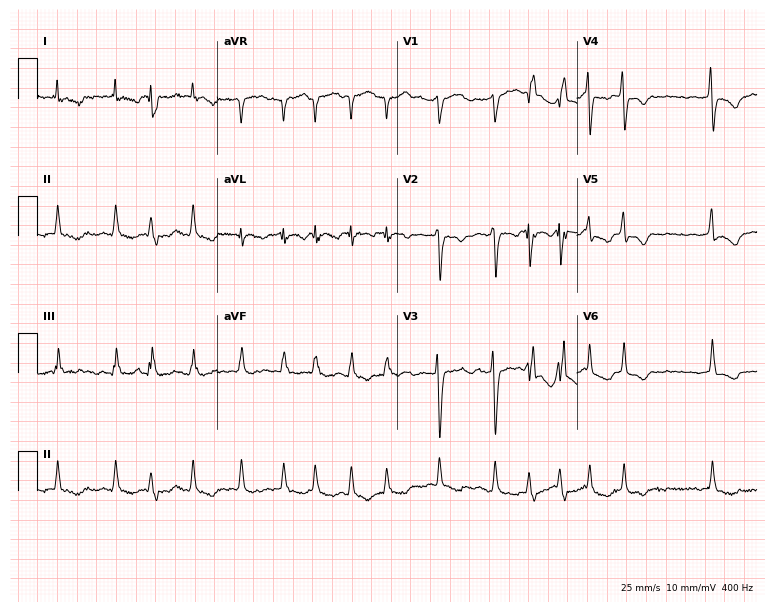
Standard 12-lead ECG recorded from a woman, 61 years old (7.3-second recording at 400 Hz). The tracing shows atrial fibrillation.